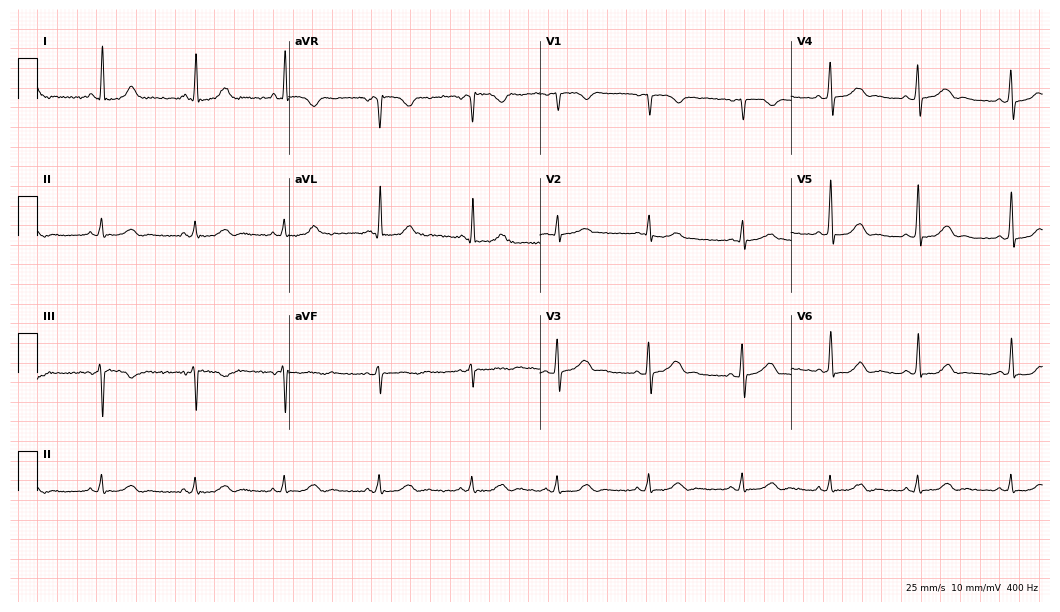
Electrocardiogram, a 44-year-old female patient. Overall reading on record: normal ECG.